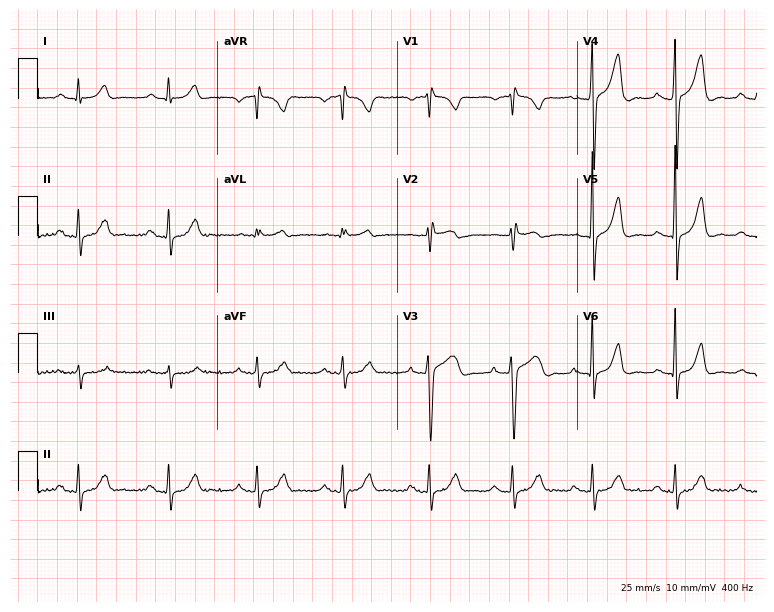
12-lead ECG from a male, 28 years old. No first-degree AV block, right bundle branch block, left bundle branch block, sinus bradycardia, atrial fibrillation or sinus tachycardia recorded for this tracing.